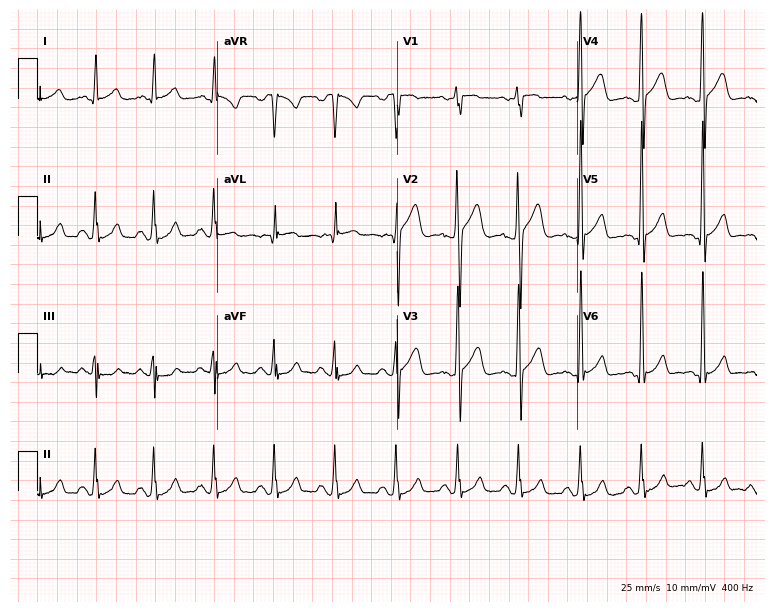
Electrocardiogram, a man, 29 years old. Of the six screened findings (first-degree AV block, right bundle branch block, left bundle branch block, sinus bradycardia, atrial fibrillation, sinus tachycardia), none is recorded. Only these six findings were labelled.